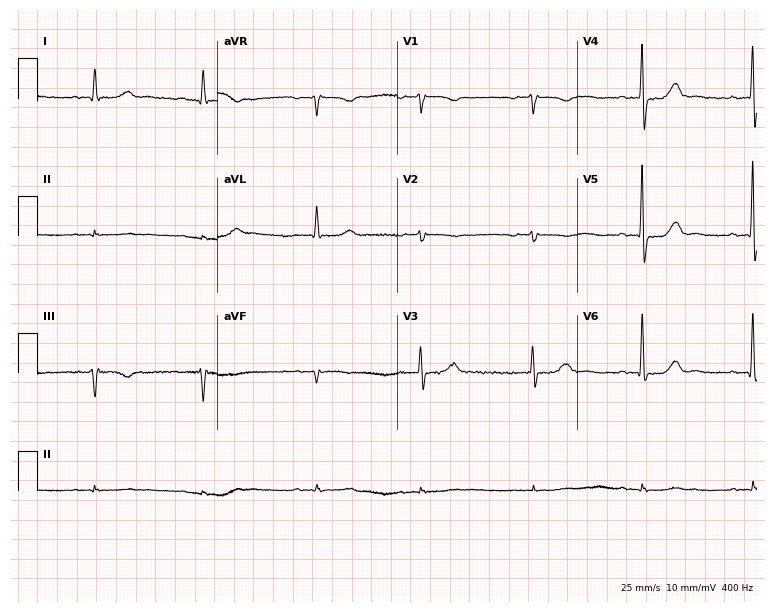
12-lead ECG (7.3-second recording at 400 Hz) from a man, 80 years old. Screened for six findings — first-degree AV block, right bundle branch block, left bundle branch block, sinus bradycardia, atrial fibrillation, sinus tachycardia — none is recorded. Findings outside these six are not listed.